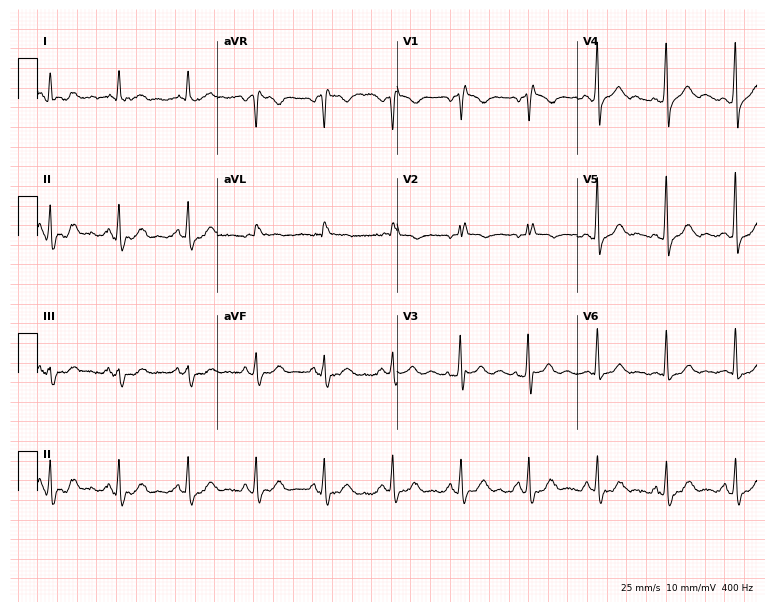
12-lead ECG (7.3-second recording at 400 Hz) from a 71-year-old man. Screened for six findings — first-degree AV block, right bundle branch block (RBBB), left bundle branch block (LBBB), sinus bradycardia, atrial fibrillation (AF), sinus tachycardia — none is recorded.